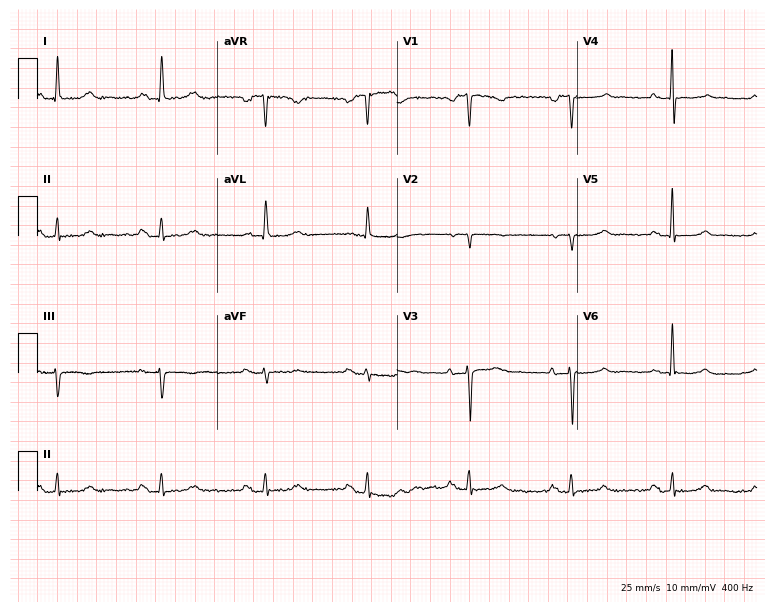
ECG — an 81-year-old female. Screened for six findings — first-degree AV block, right bundle branch block, left bundle branch block, sinus bradycardia, atrial fibrillation, sinus tachycardia — none is recorded.